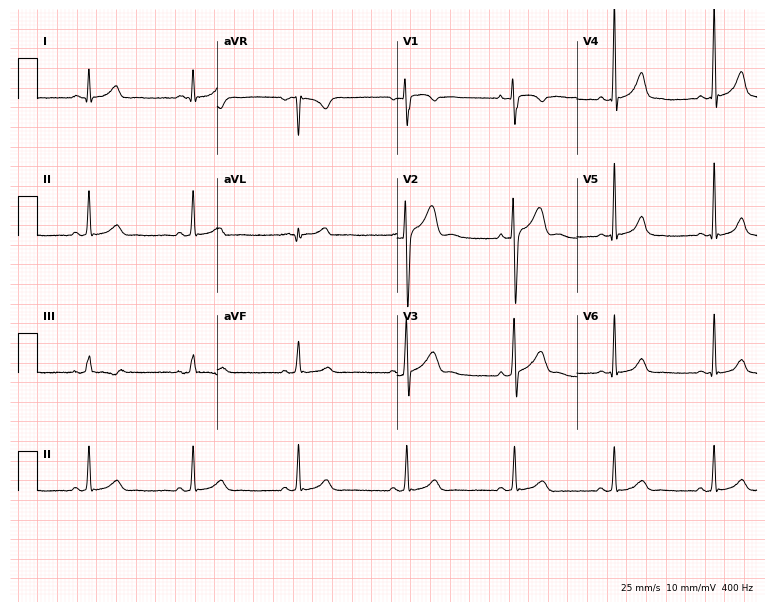
12-lead ECG from a man, 27 years old. Labelled as a normal ECG.